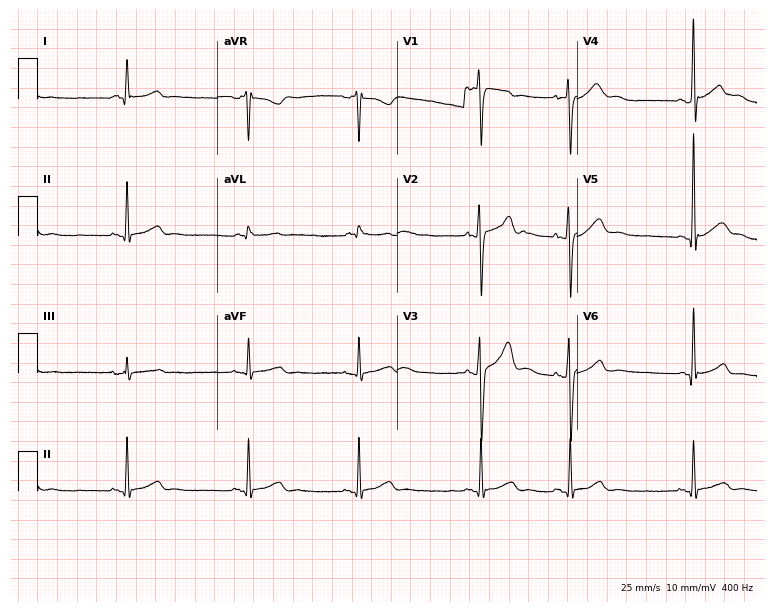
Electrocardiogram (7.3-second recording at 400 Hz), an 18-year-old male. Overall reading on record: normal ECG.